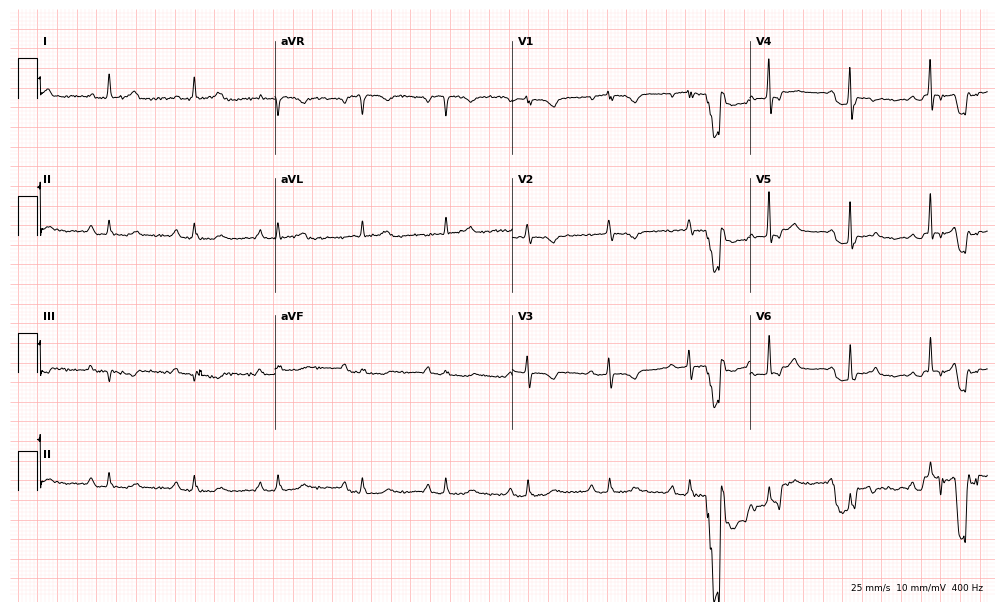
12-lead ECG from a woman, 76 years old. Screened for six findings — first-degree AV block, right bundle branch block, left bundle branch block, sinus bradycardia, atrial fibrillation, sinus tachycardia — none is recorded.